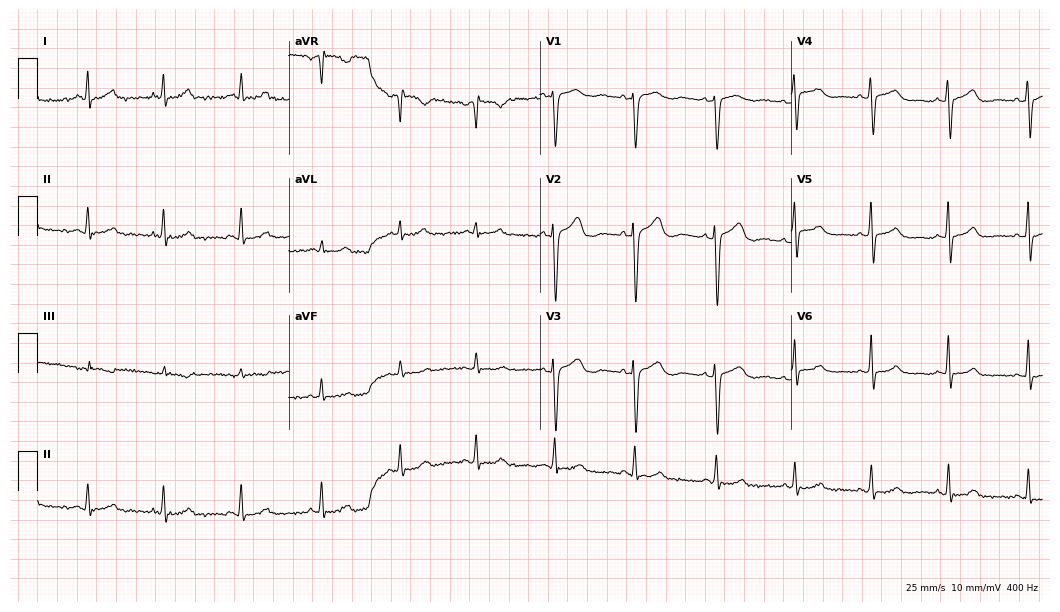
Standard 12-lead ECG recorded from a woman, 41 years old. Read as a normal ECG.